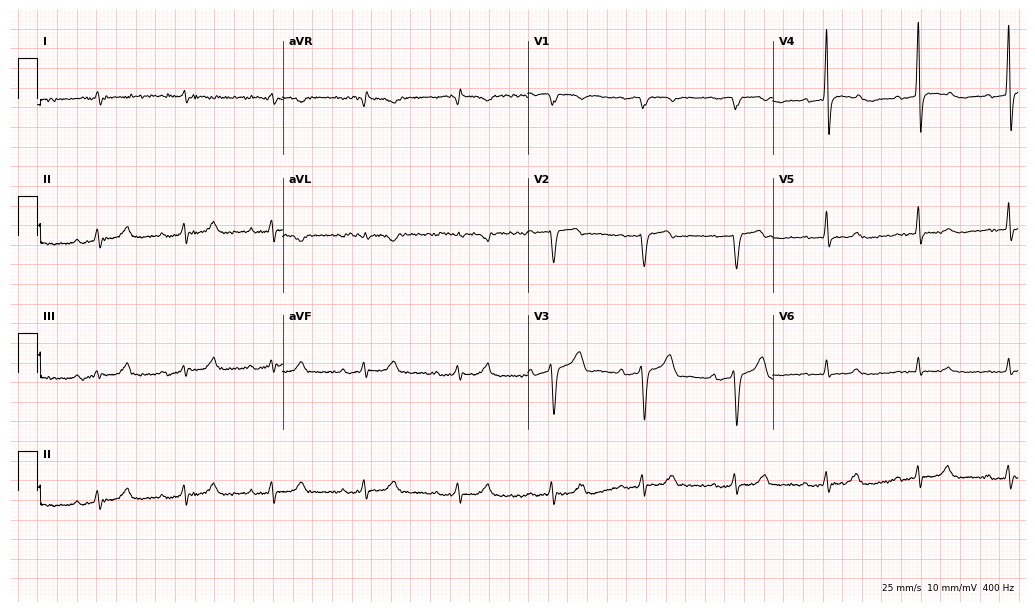
Standard 12-lead ECG recorded from a 67-year-old male patient. Read as a normal ECG.